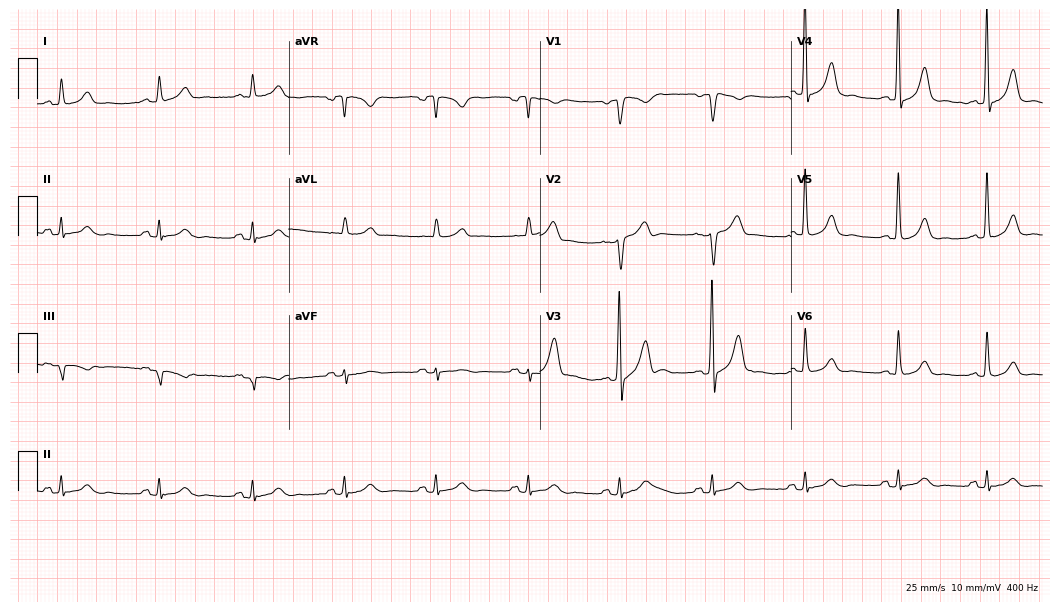
ECG — a 53-year-old male. Labelled as a normal ECG.